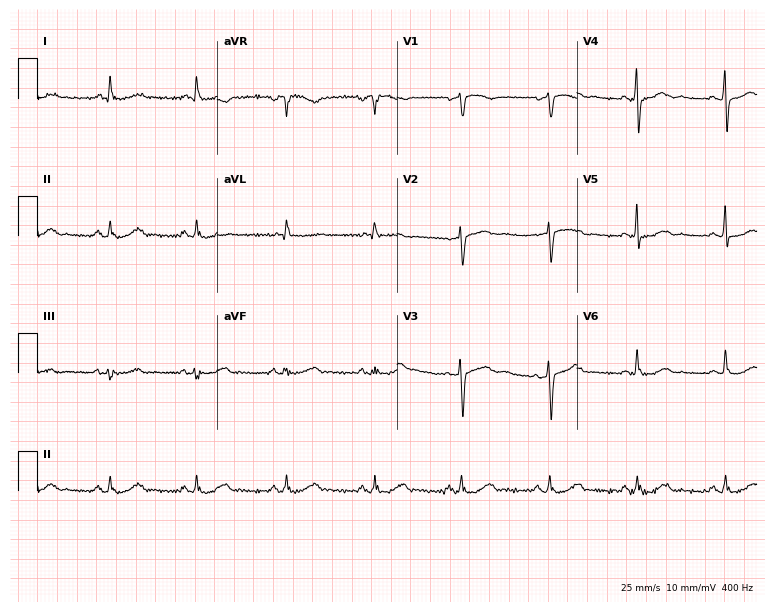
12-lead ECG from a female, 60 years old. Recorded interpretation: within normal limits.